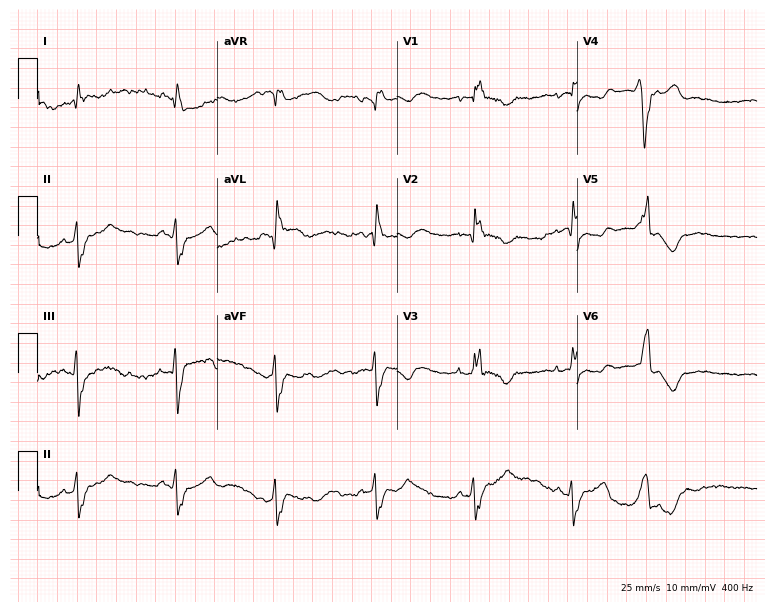
12-lead ECG from a 41-year-old female patient (7.3-second recording at 400 Hz). Shows right bundle branch block.